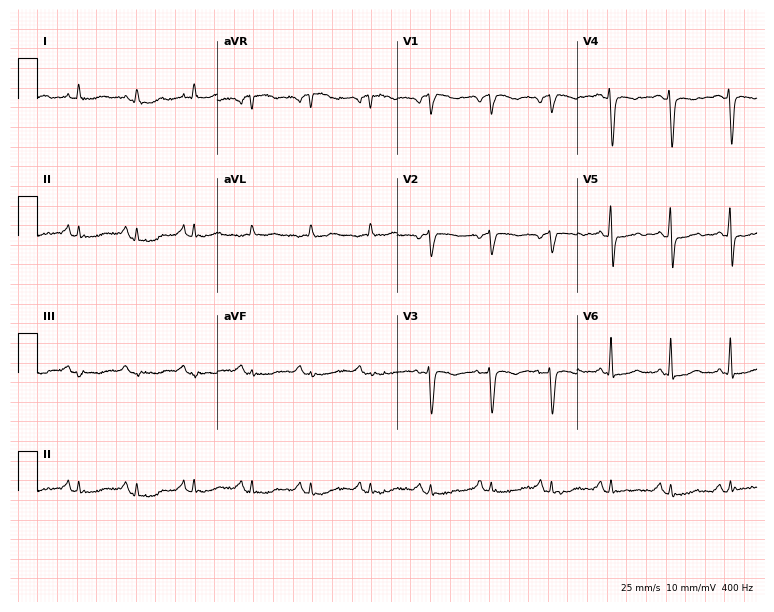
12-lead ECG from a 63-year-old female patient (7.3-second recording at 400 Hz). No first-degree AV block, right bundle branch block (RBBB), left bundle branch block (LBBB), sinus bradycardia, atrial fibrillation (AF) or sinus tachycardia recorded for this tracing.